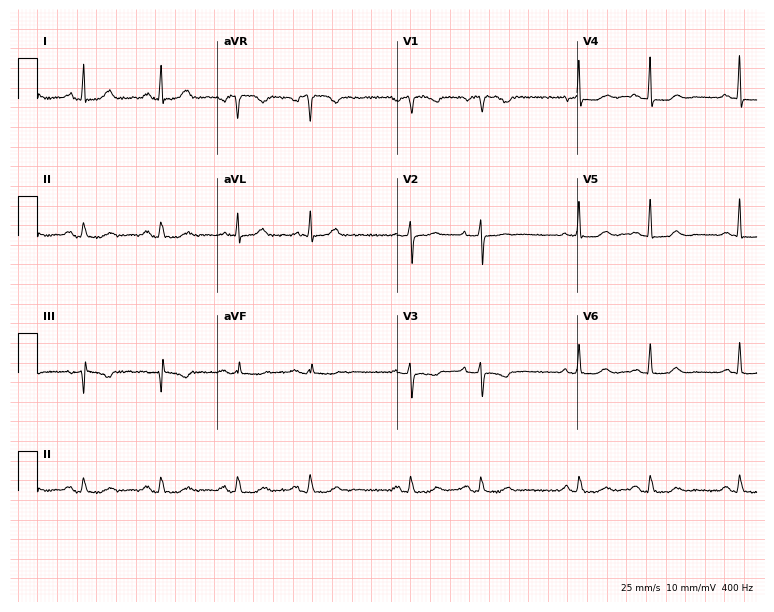
Resting 12-lead electrocardiogram (7.3-second recording at 400 Hz). Patient: an 83-year-old woman. Read as a normal ECG.